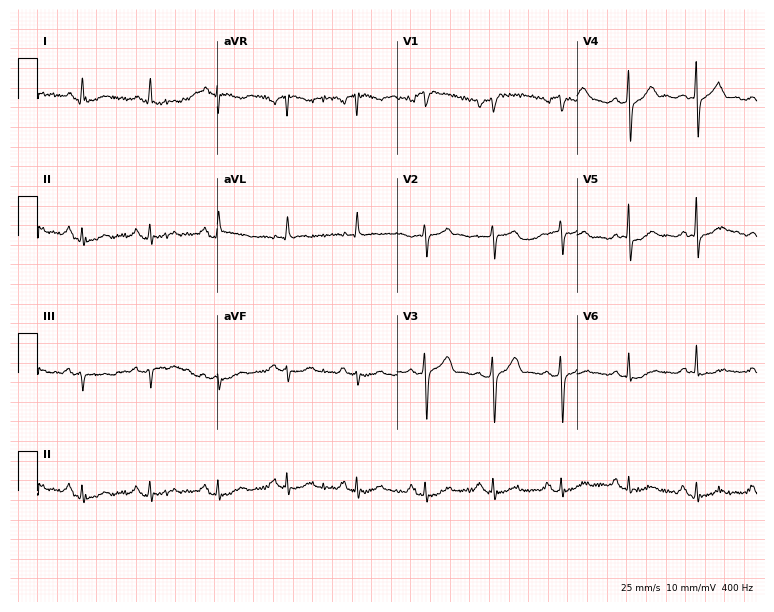
12-lead ECG (7.3-second recording at 400 Hz) from a female, 60 years old. Screened for six findings — first-degree AV block, right bundle branch block, left bundle branch block, sinus bradycardia, atrial fibrillation, sinus tachycardia — none is recorded. Findings outside these six are not listed.